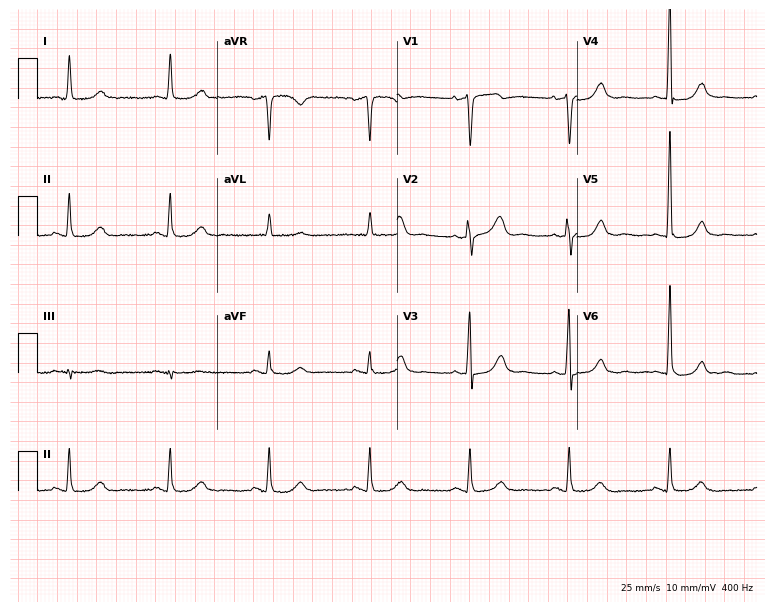
ECG — an 85-year-old woman. Labelled as a normal ECG.